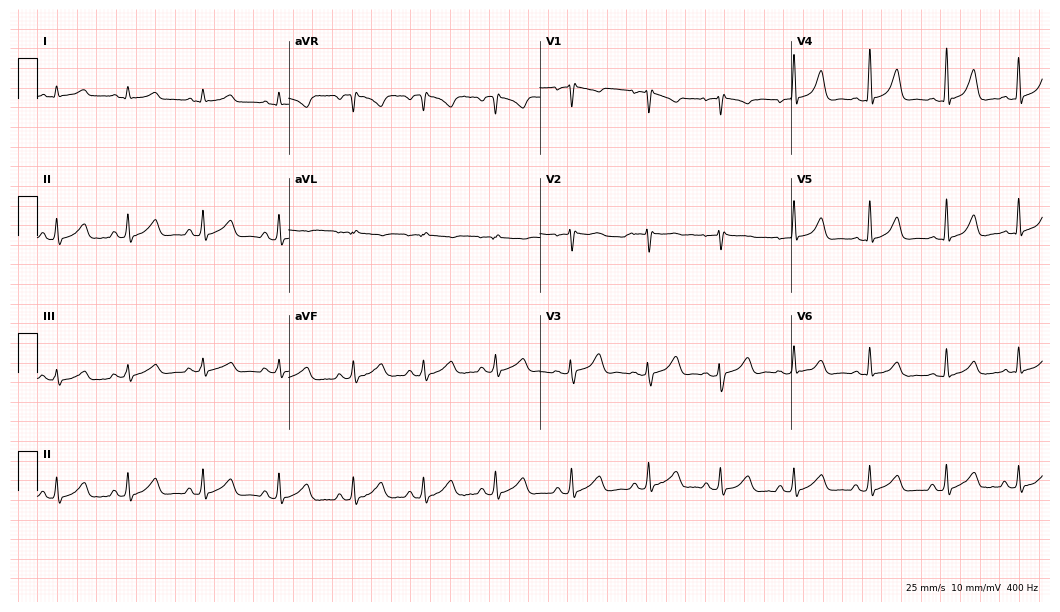
12-lead ECG from a woman, 37 years old. Recorded interpretation: within normal limits.